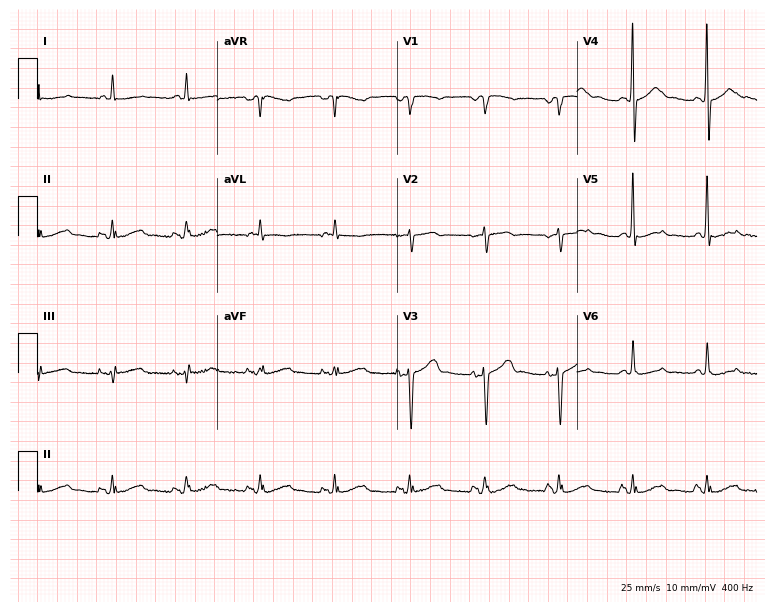
12-lead ECG from a male, 79 years old. Labelled as a normal ECG.